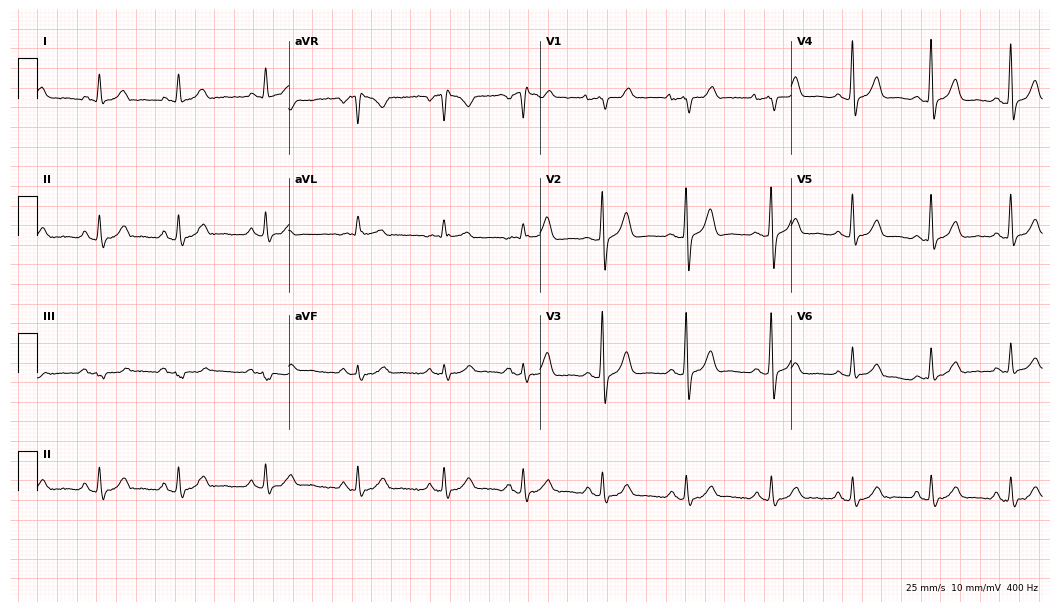
Electrocardiogram, a 71-year-old male patient. Overall reading on record: normal ECG.